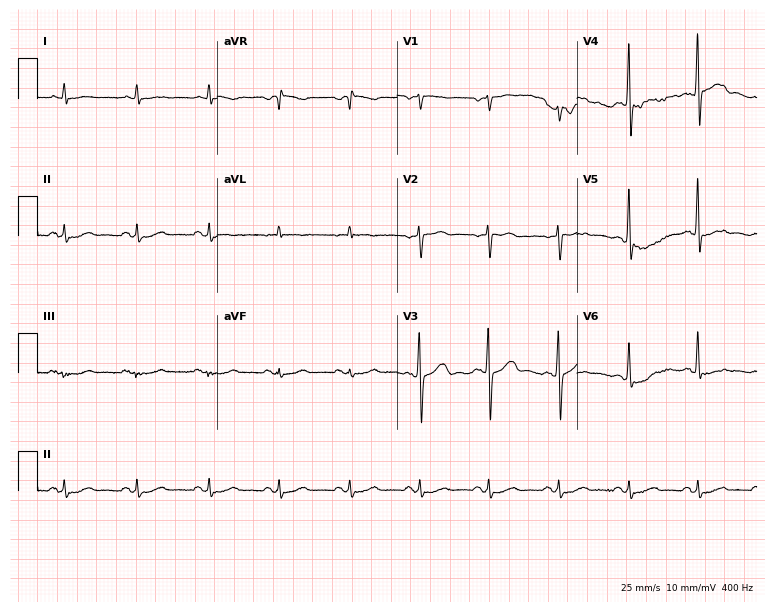
12-lead ECG from a man, 58 years old. Screened for six findings — first-degree AV block, right bundle branch block (RBBB), left bundle branch block (LBBB), sinus bradycardia, atrial fibrillation (AF), sinus tachycardia — none is recorded.